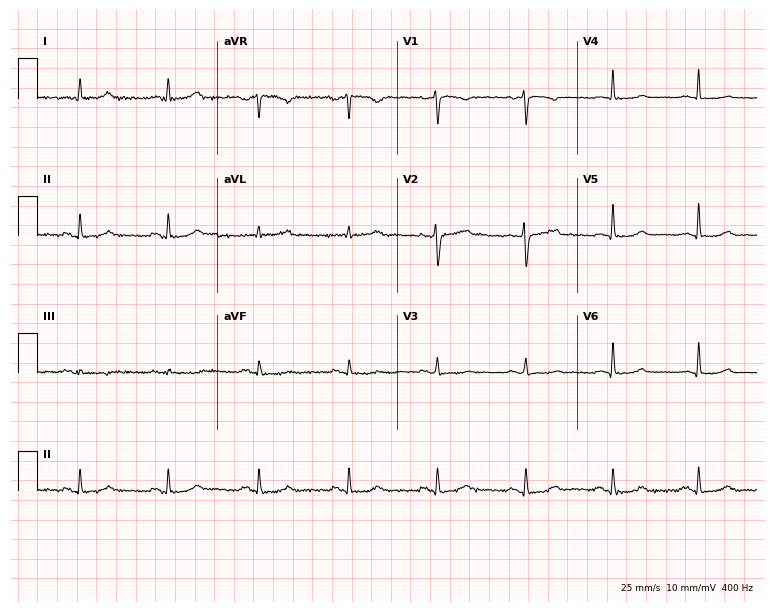
Resting 12-lead electrocardiogram. Patient: a 40-year-old woman. Read as a normal ECG.